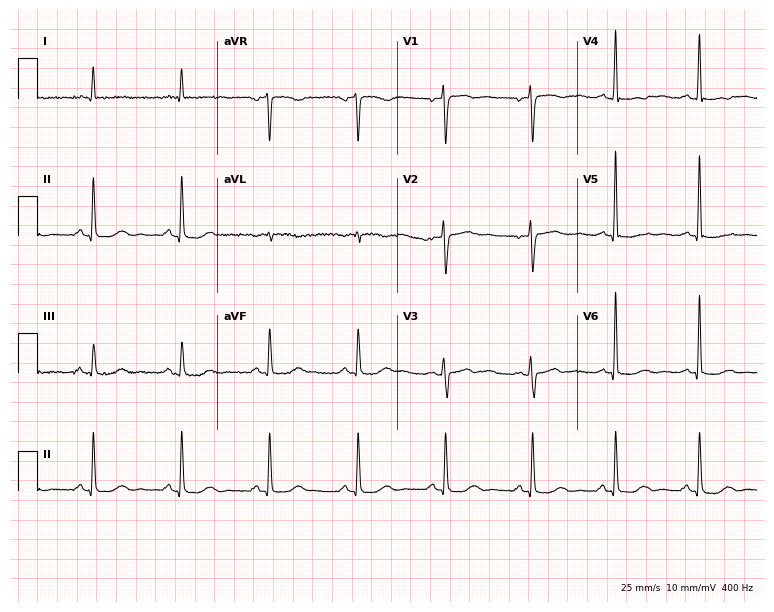
ECG (7.3-second recording at 400 Hz) — a 55-year-old woman. Screened for six findings — first-degree AV block, right bundle branch block (RBBB), left bundle branch block (LBBB), sinus bradycardia, atrial fibrillation (AF), sinus tachycardia — none is recorded.